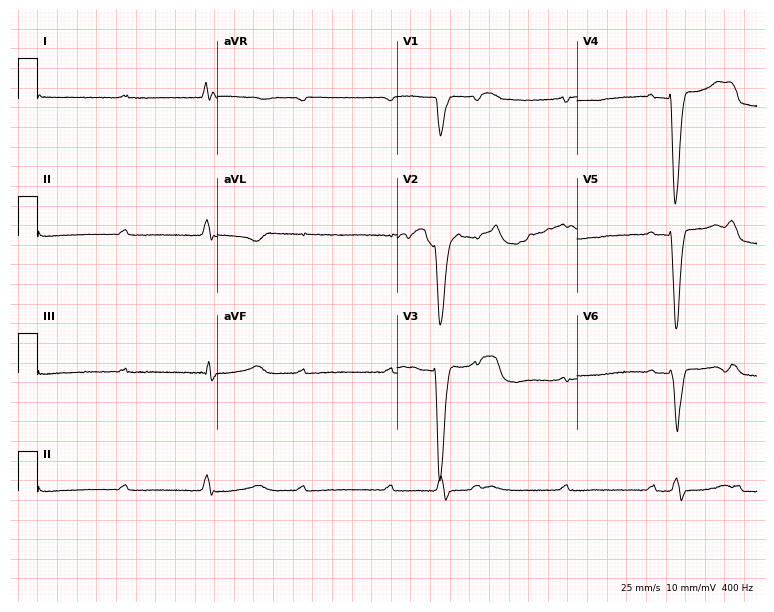
Resting 12-lead electrocardiogram. Patient: a man, 71 years old. None of these six findings is recorded: first-degree AV block, right bundle branch block, left bundle branch block, sinus bradycardia, atrial fibrillation, sinus tachycardia. Only these six findings were labelled.